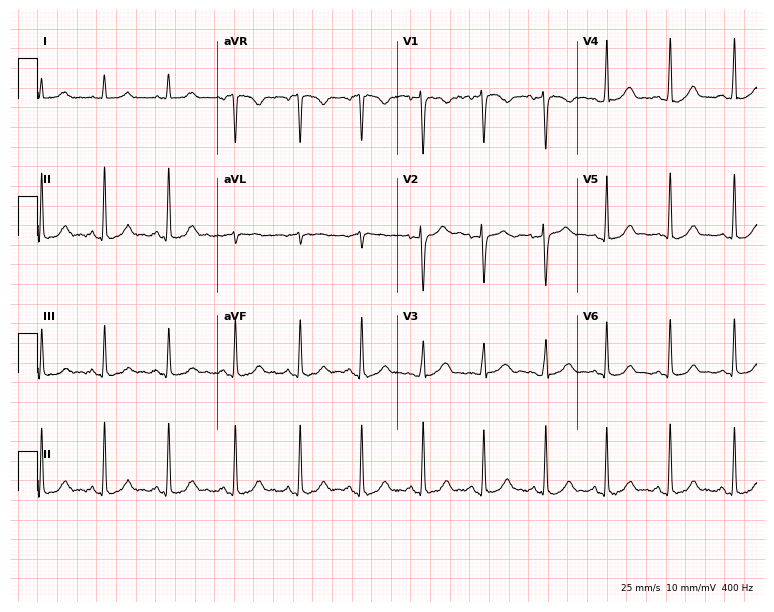
Standard 12-lead ECG recorded from a female patient, 28 years old. Read as a normal ECG.